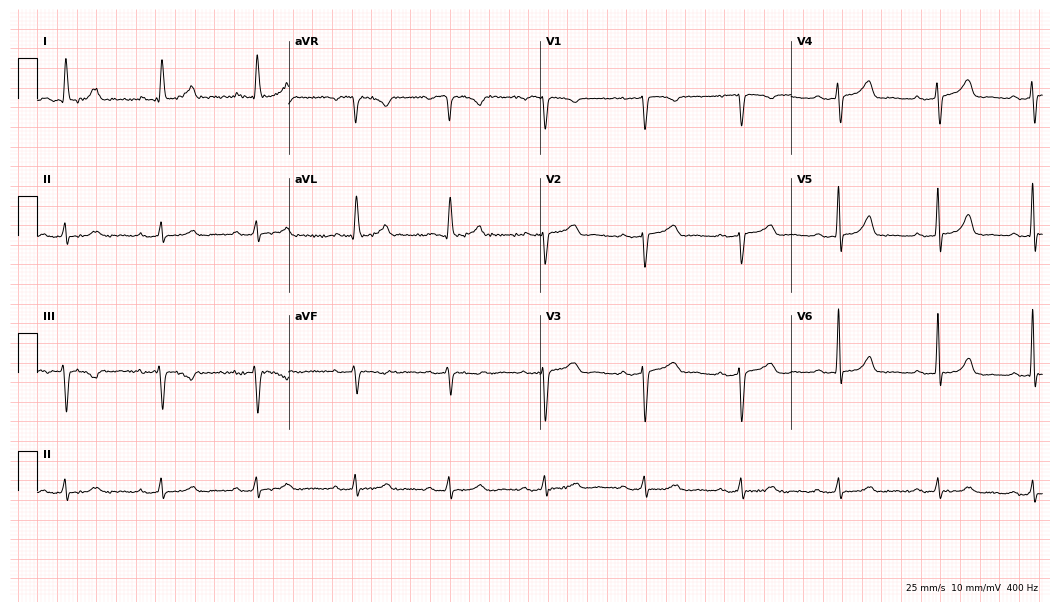
ECG — a female, 58 years old. Findings include first-degree AV block.